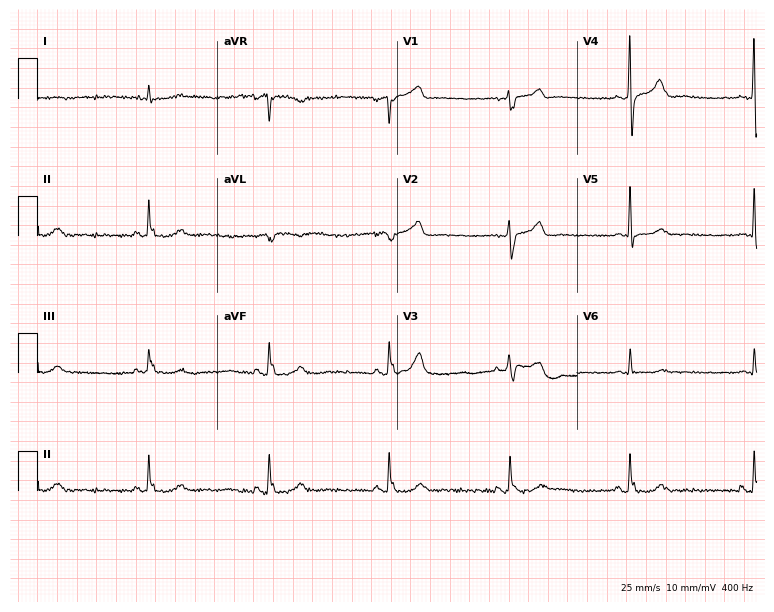
Resting 12-lead electrocardiogram (7.3-second recording at 400 Hz). Patient: a 51-year-old man. The tracing shows sinus bradycardia (a sinus rate of 50 beats per minute or less).